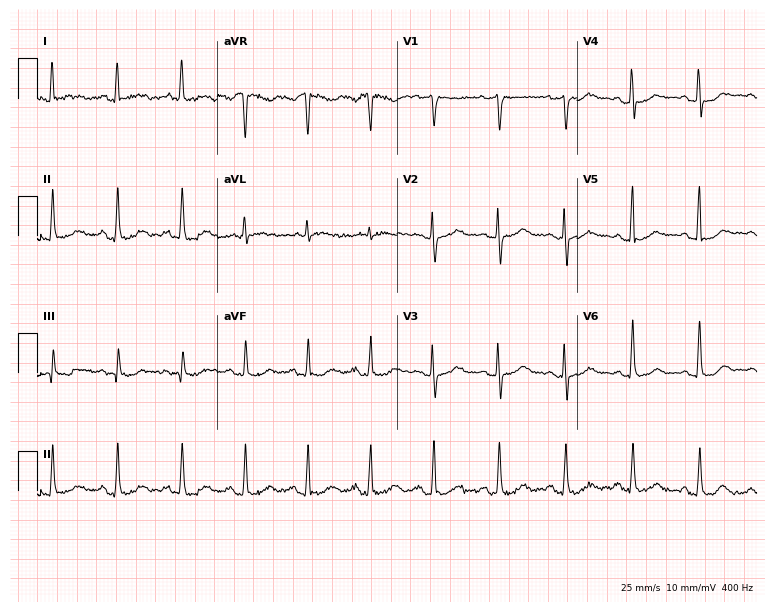
Resting 12-lead electrocardiogram. Patient: a female, 51 years old. Read as a normal ECG.